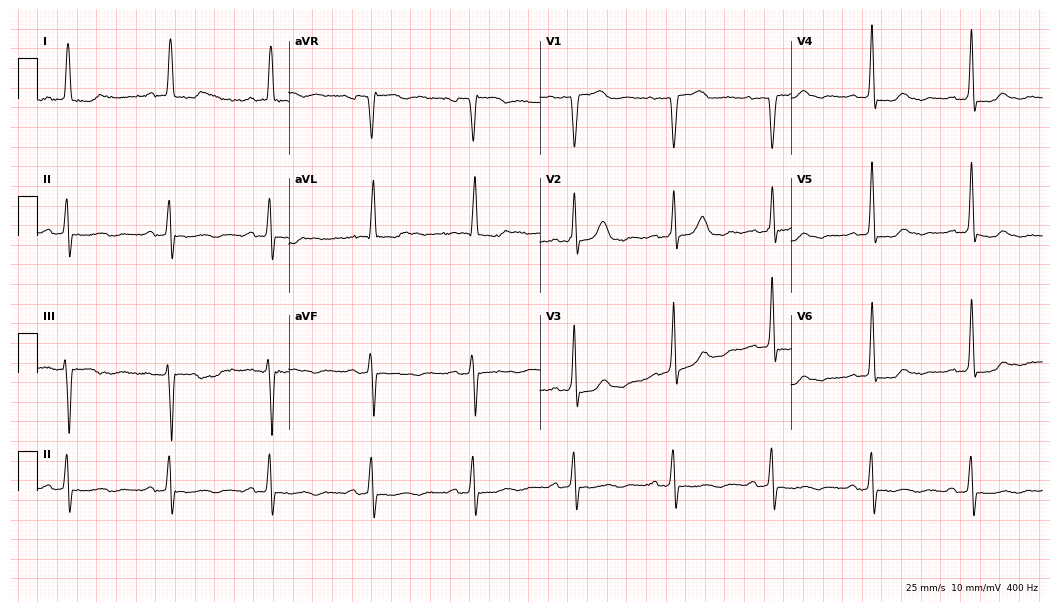
12-lead ECG from a woman, 77 years old. No first-degree AV block, right bundle branch block, left bundle branch block, sinus bradycardia, atrial fibrillation or sinus tachycardia recorded for this tracing.